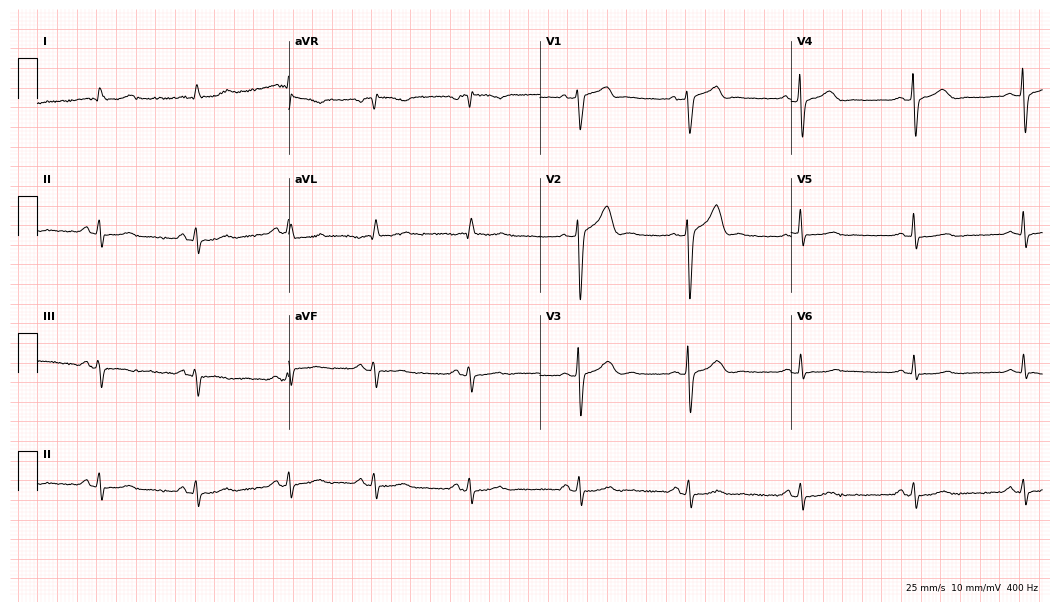
Electrocardiogram (10.2-second recording at 400 Hz), a male, 78 years old. Of the six screened findings (first-degree AV block, right bundle branch block, left bundle branch block, sinus bradycardia, atrial fibrillation, sinus tachycardia), none is recorded.